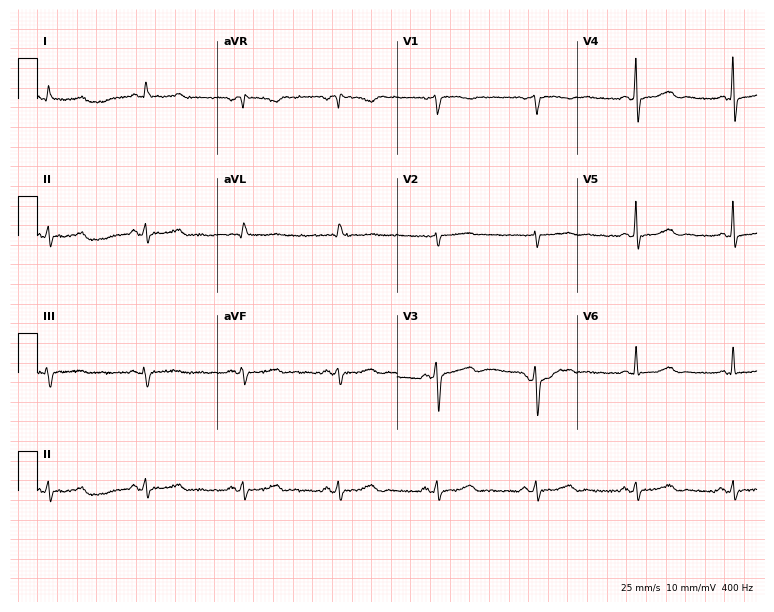
Resting 12-lead electrocardiogram (7.3-second recording at 400 Hz). Patient: a woman, 69 years old. None of these six findings is recorded: first-degree AV block, right bundle branch block (RBBB), left bundle branch block (LBBB), sinus bradycardia, atrial fibrillation (AF), sinus tachycardia.